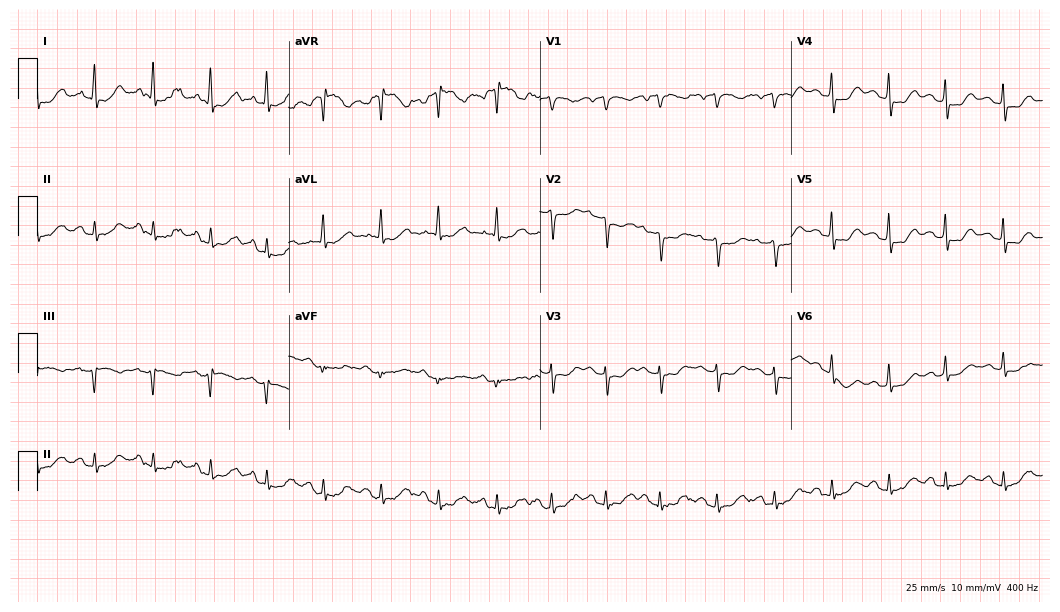
Electrocardiogram (10.2-second recording at 400 Hz), a woman, 68 years old. Of the six screened findings (first-degree AV block, right bundle branch block (RBBB), left bundle branch block (LBBB), sinus bradycardia, atrial fibrillation (AF), sinus tachycardia), none is recorded.